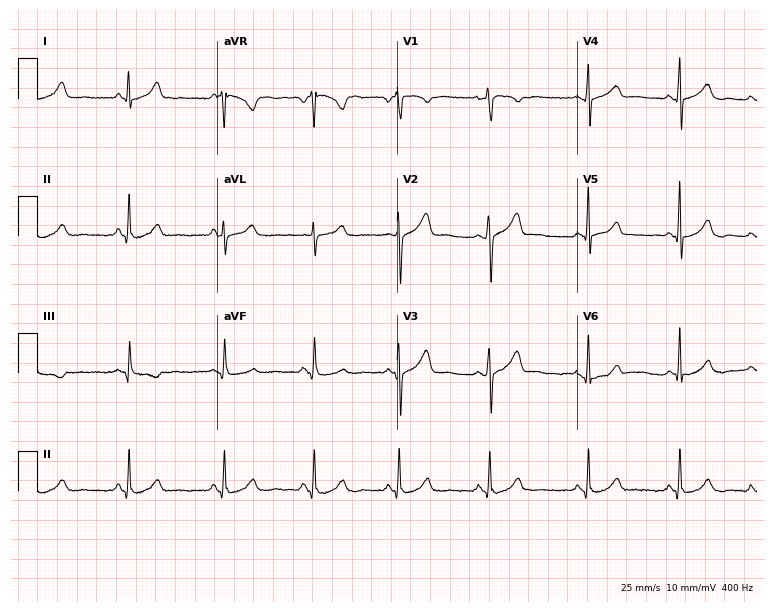
ECG — a 42-year-old female patient. Screened for six findings — first-degree AV block, right bundle branch block (RBBB), left bundle branch block (LBBB), sinus bradycardia, atrial fibrillation (AF), sinus tachycardia — none is recorded.